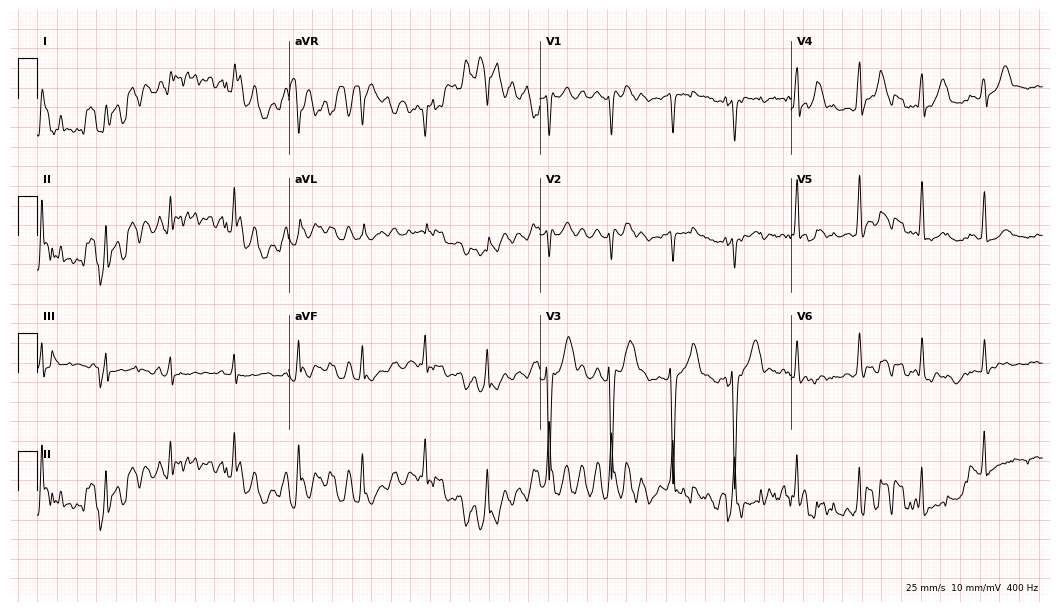
Resting 12-lead electrocardiogram (10.2-second recording at 400 Hz). Patient: a 41-year-old man. None of these six findings is recorded: first-degree AV block, right bundle branch block, left bundle branch block, sinus bradycardia, atrial fibrillation, sinus tachycardia. Only these six findings were labelled.